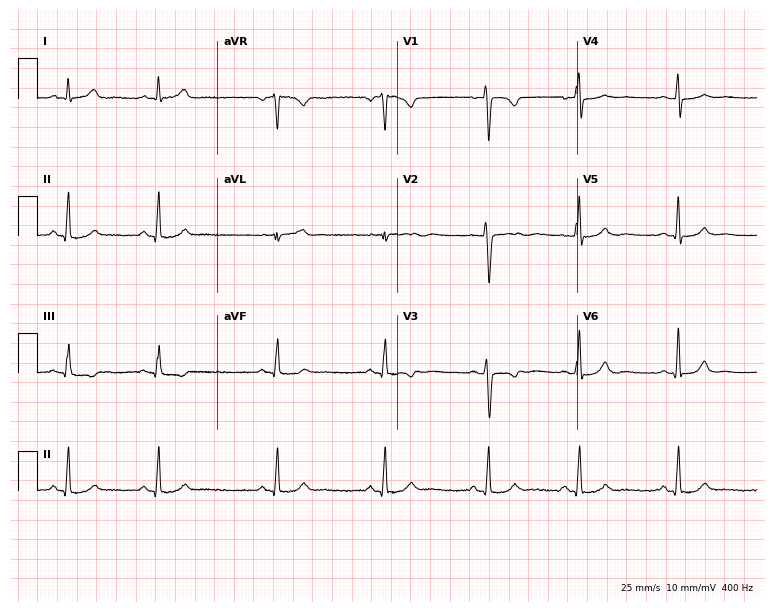
Resting 12-lead electrocardiogram. Patient: a 28-year-old female. Read as a normal ECG.